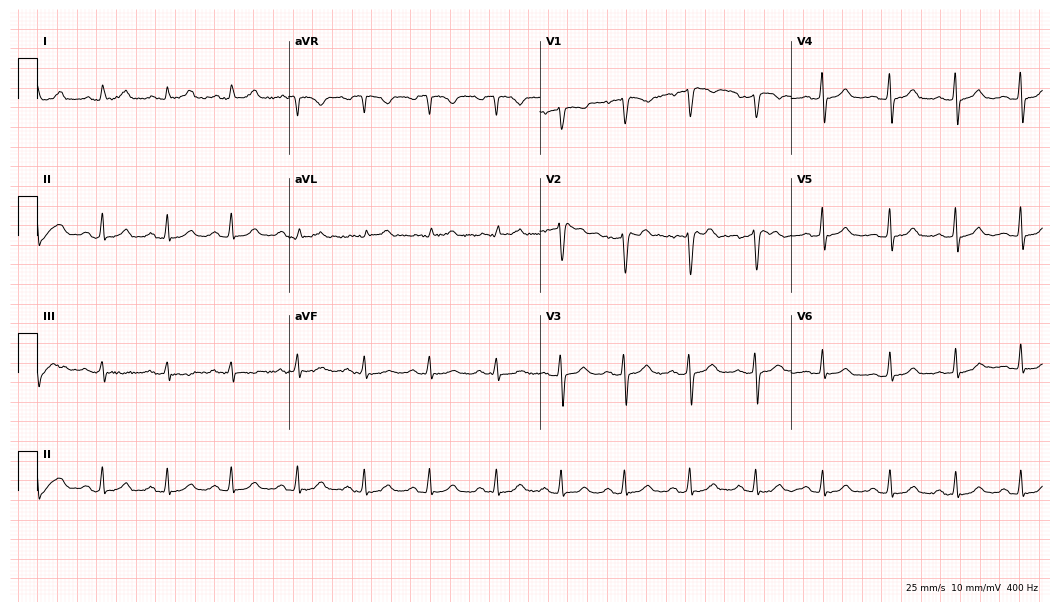
Electrocardiogram (10.2-second recording at 400 Hz), a woman, 33 years old. Overall reading on record: normal ECG.